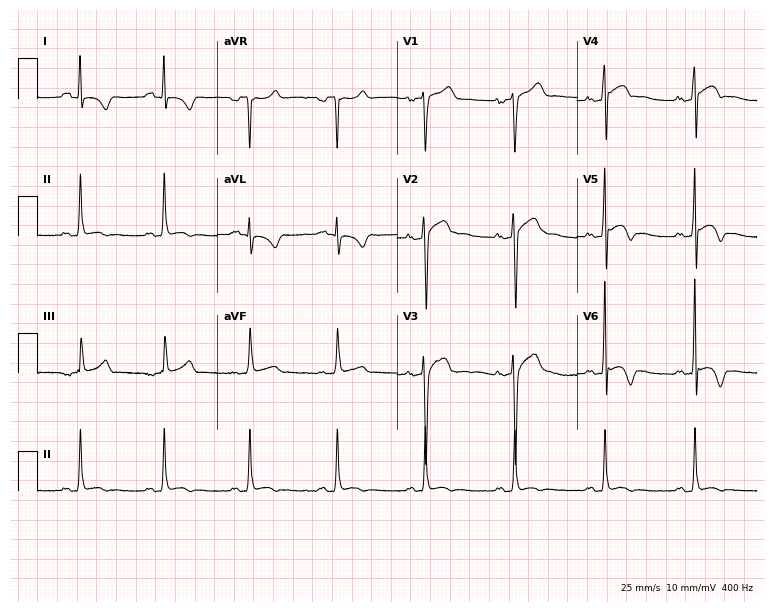
12-lead ECG from a 40-year-old man. No first-degree AV block, right bundle branch block, left bundle branch block, sinus bradycardia, atrial fibrillation or sinus tachycardia recorded for this tracing. Only these six findings were labelled.